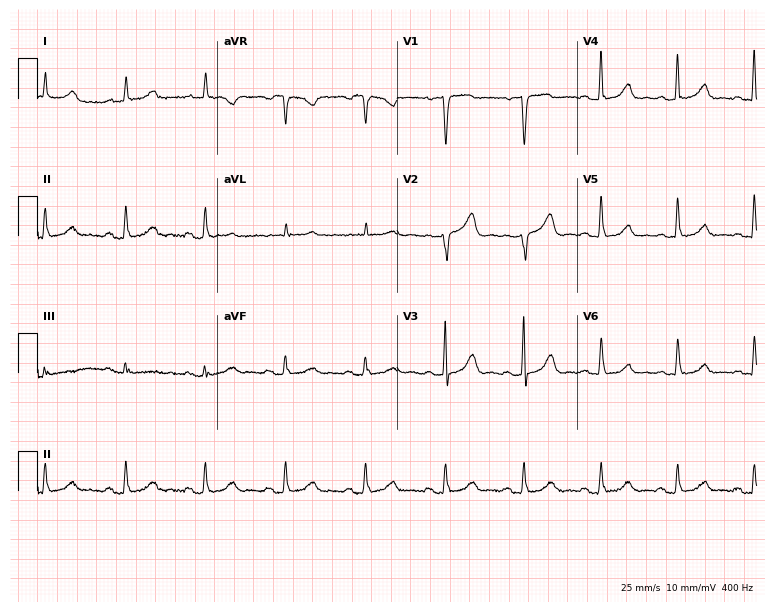
12-lead ECG from a 56-year-old woman. Labelled as a normal ECG.